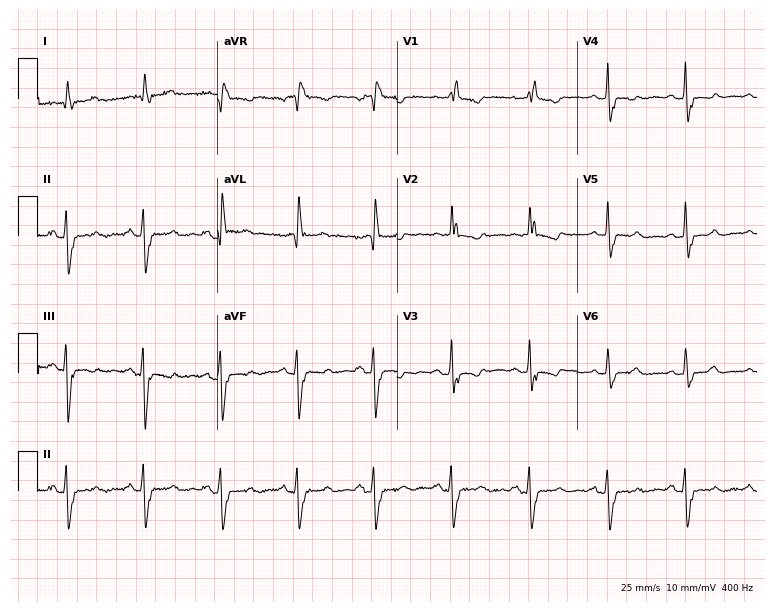
Standard 12-lead ECG recorded from a 72-year-old female patient (7.3-second recording at 400 Hz). The tracing shows right bundle branch block.